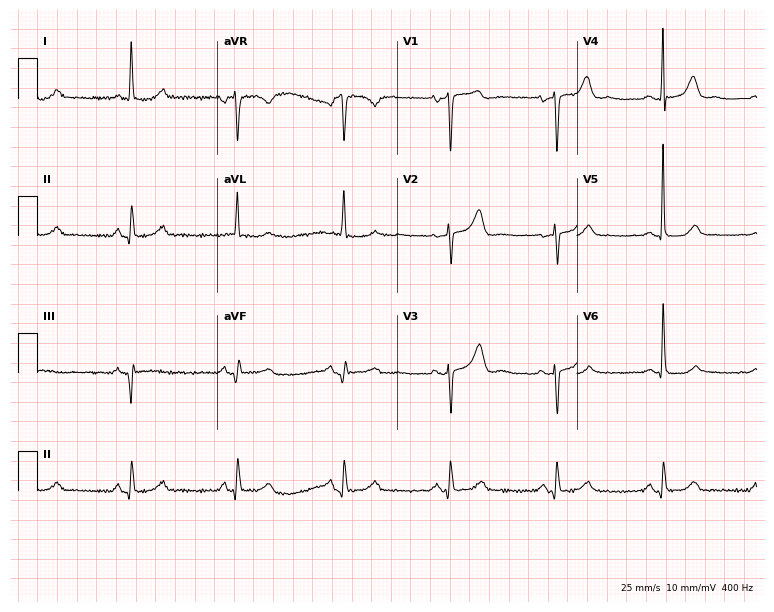
ECG (7.3-second recording at 400 Hz) — a female patient, 81 years old. Screened for six findings — first-degree AV block, right bundle branch block, left bundle branch block, sinus bradycardia, atrial fibrillation, sinus tachycardia — none is recorded. Only these six findings were labelled.